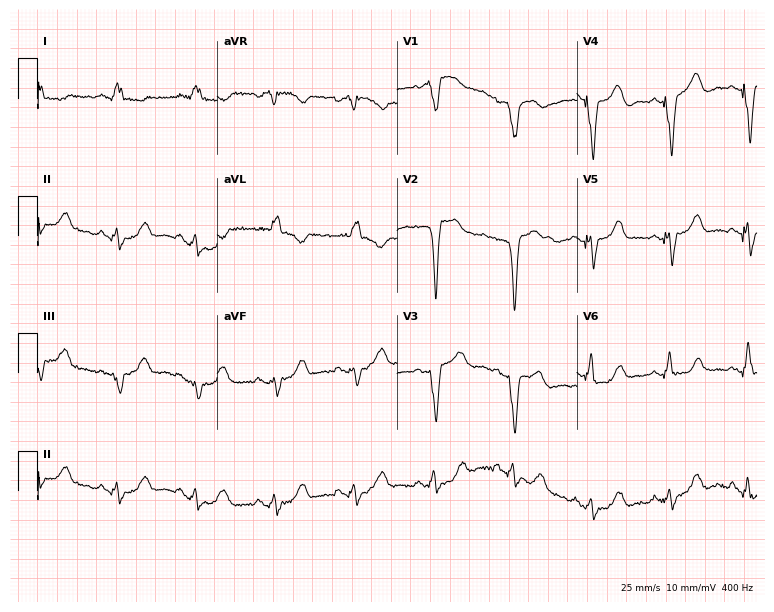
Electrocardiogram (7.3-second recording at 400 Hz), a female, 84 years old. Of the six screened findings (first-degree AV block, right bundle branch block (RBBB), left bundle branch block (LBBB), sinus bradycardia, atrial fibrillation (AF), sinus tachycardia), none is recorded. Only these six findings were labelled.